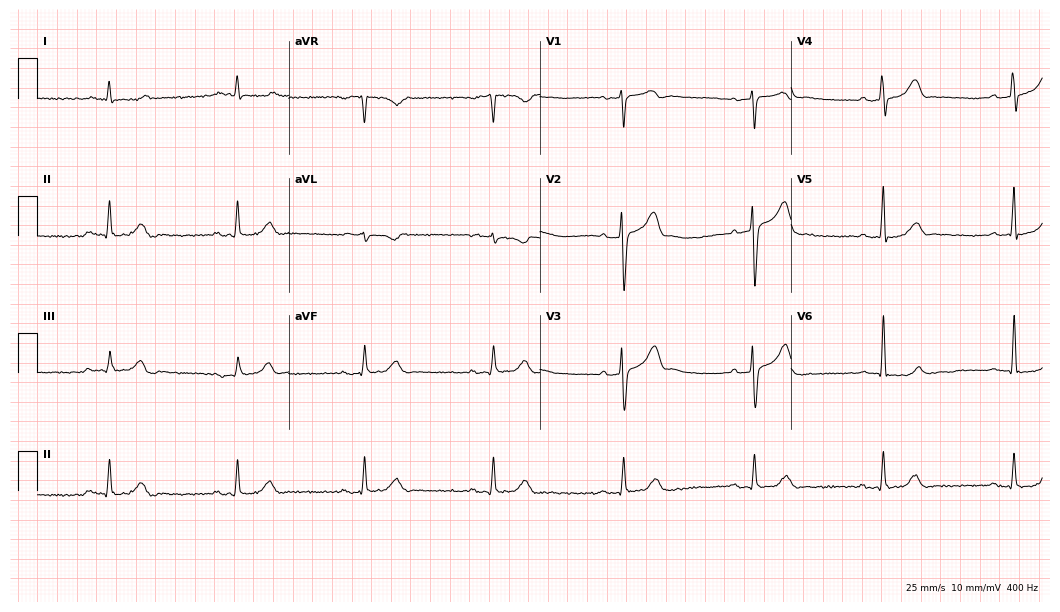
Electrocardiogram (10.2-second recording at 400 Hz), a 78-year-old male patient. Overall reading on record: normal ECG.